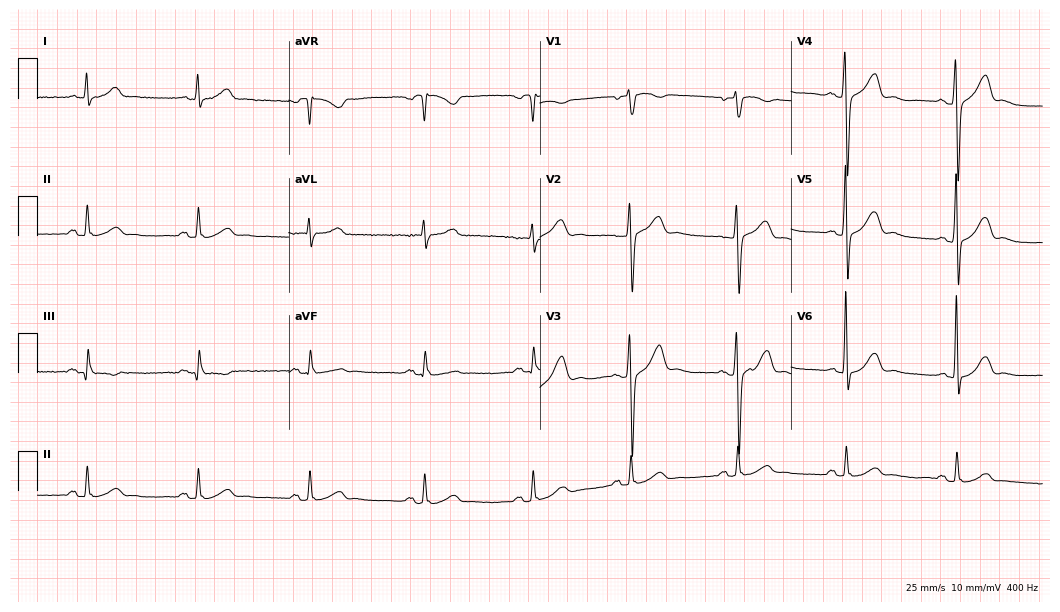
Standard 12-lead ECG recorded from a man, 54 years old. None of these six findings is recorded: first-degree AV block, right bundle branch block, left bundle branch block, sinus bradycardia, atrial fibrillation, sinus tachycardia. Findings outside these six are not listed.